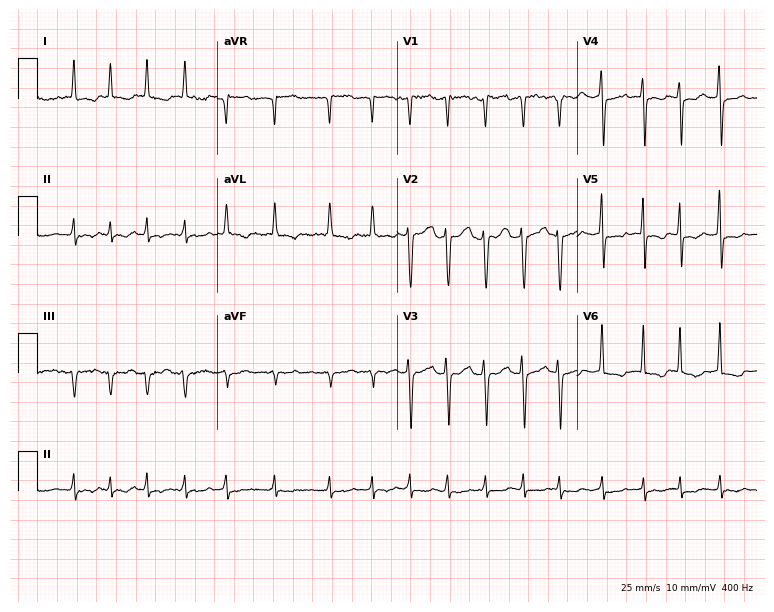
Electrocardiogram (7.3-second recording at 400 Hz), a female patient, 82 years old. Interpretation includes atrial fibrillation.